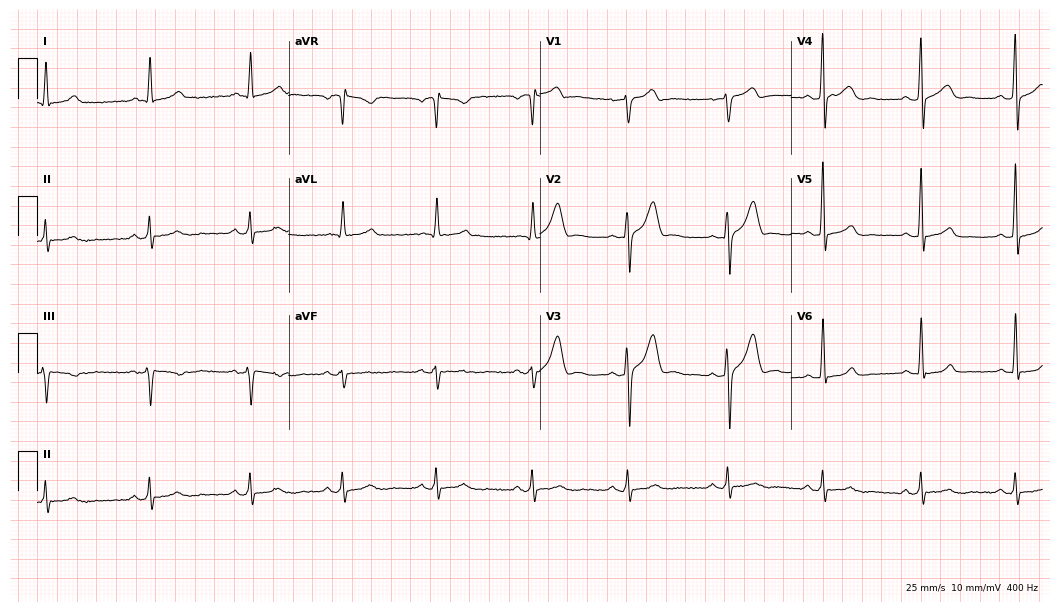
Standard 12-lead ECG recorded from a male, 30 years old. None of these six findings is recorded: first-degree AV block, right bundle branch block, left bundle branch block, sinus bradycardia, atrial fibrillation, sinus tachycardia. Only these six findings were labelled.